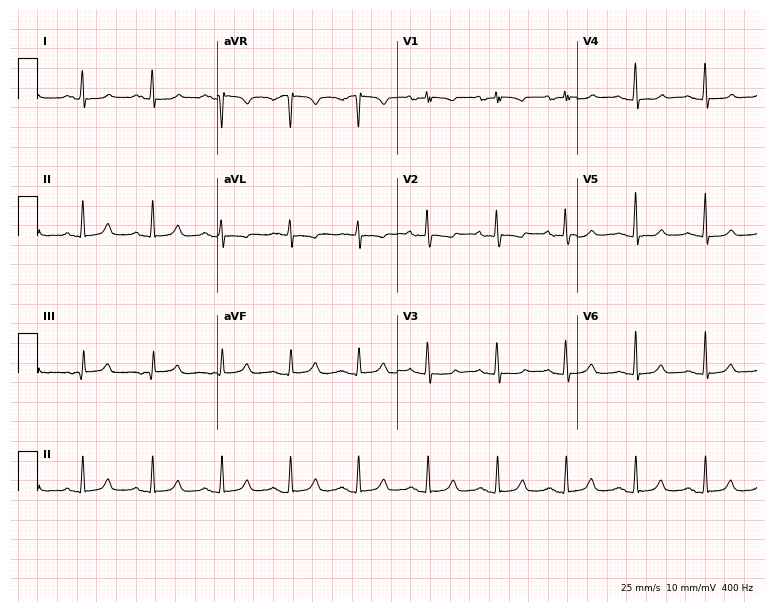
Standard 12-lead ECG recorded from a female, 34 years old. None of these six findings is recorded: first-degree AV block, right bundle branch block (RBBB), left bundle branch block (LBBB), sinus bradycardia, atrial fibrillation (AF), sinus tachycardia.